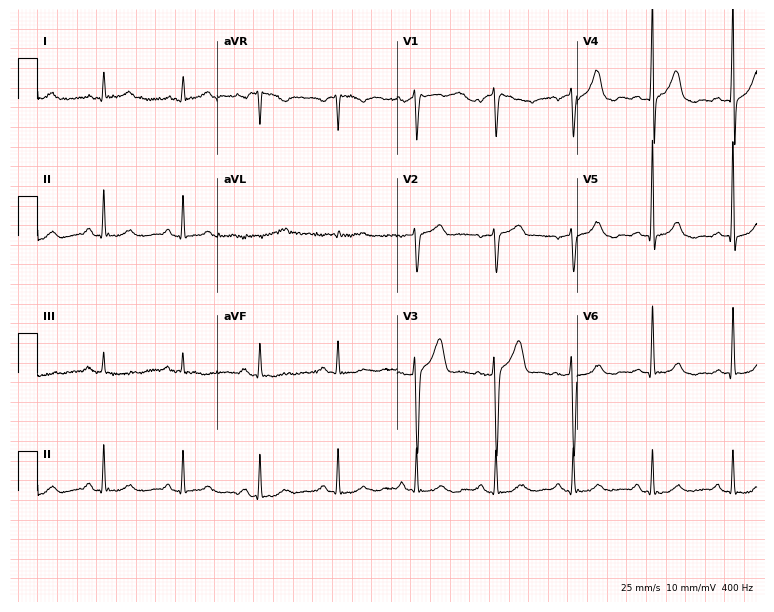
Resting 12-lead electrocardiogram. Patient: a male, 52 years old. Read as a normal ECG.